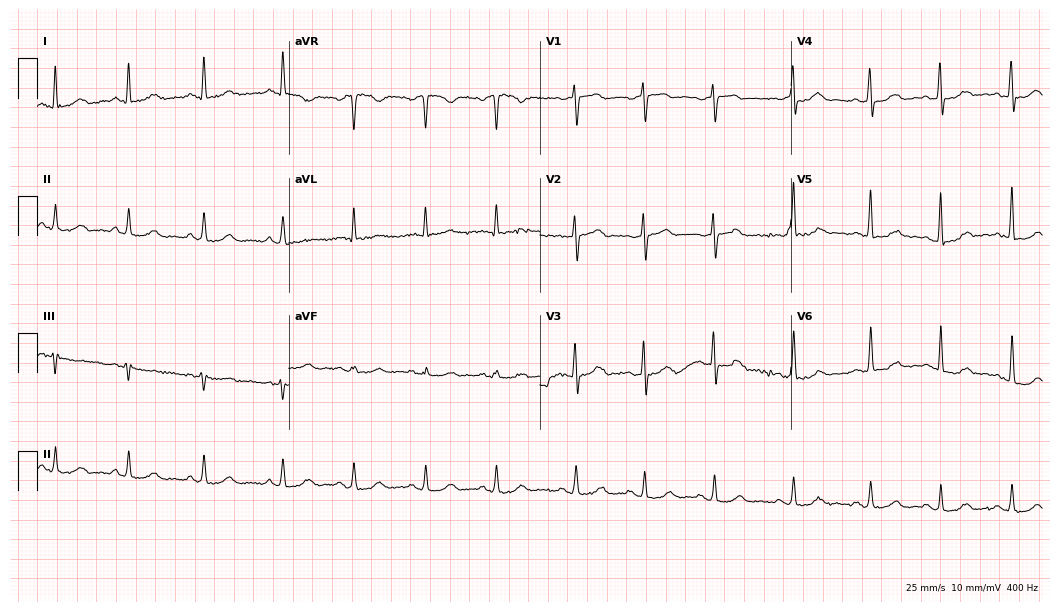
Electrocardiogram (10.2-second recording at 400 Hz), a 61-year-old female patient. Overall reading on record: normal ECG.